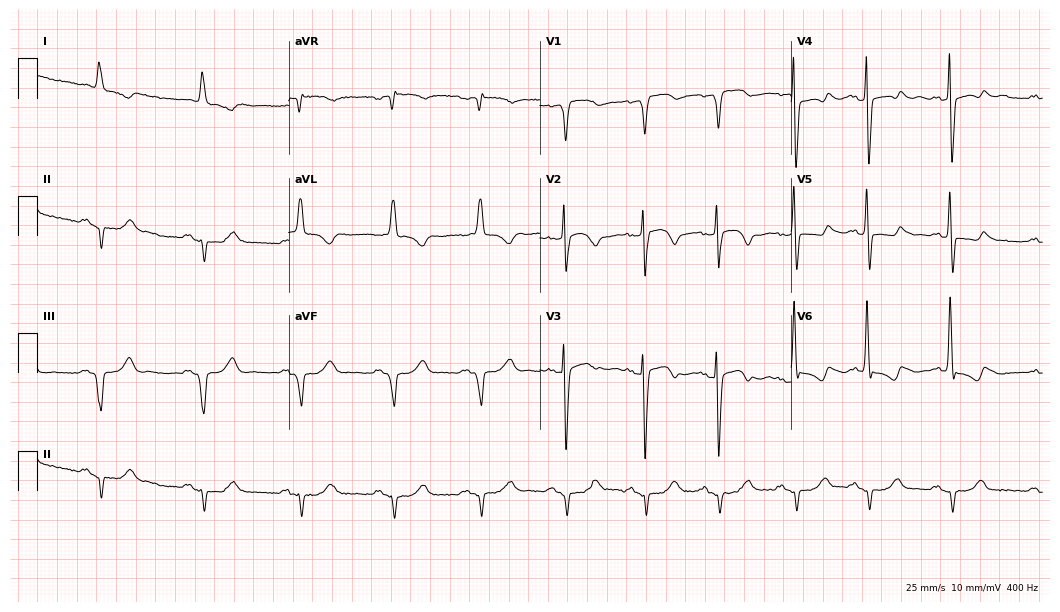
12-lead ECG from a 47-year-old male patient. No first-degree AV block, right bundle branch block (RBBB), left bundle branch block (LBBB), sinus bradycardia, atrial fibrillation (AF) or sinus tachycardia recorded for this tracing. Other findings, if any, are not listed.